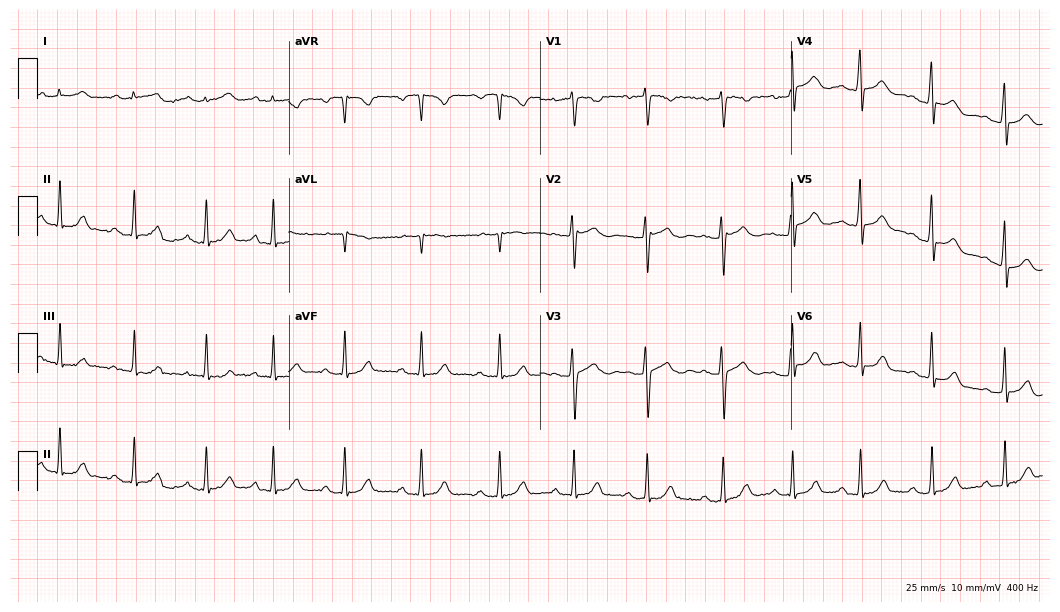
12-lead ECG from a 17-year-old female patient (10.2-second recording at 400 Hz). Recorded interpretation: within normal limits.